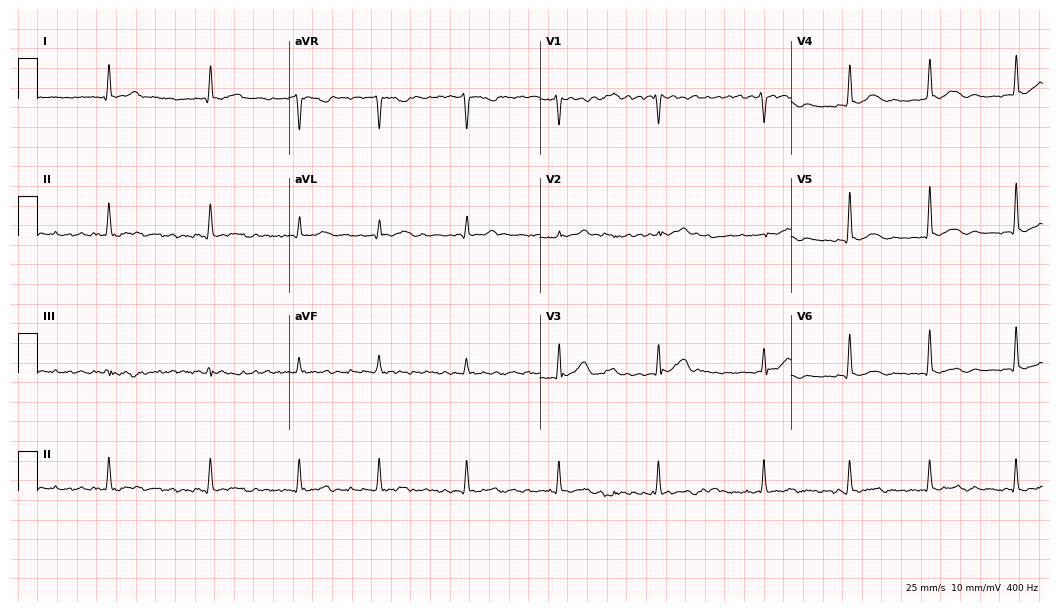
12-lead ECG from a male, 52 years old (10.2-second recording at 400 Hz). Shows atrial fibrillation (AF).